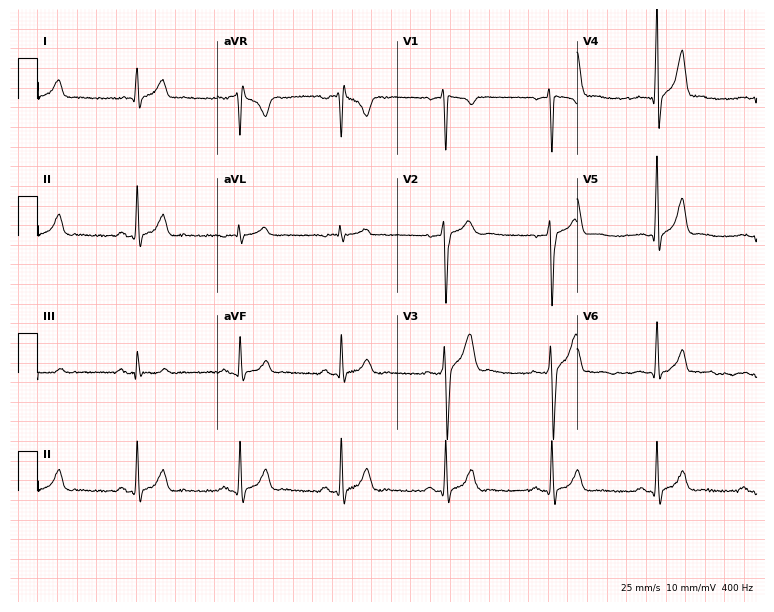
Standard 12-lead ECG recorded from a male, 24 years old. Read as a normal ECG.